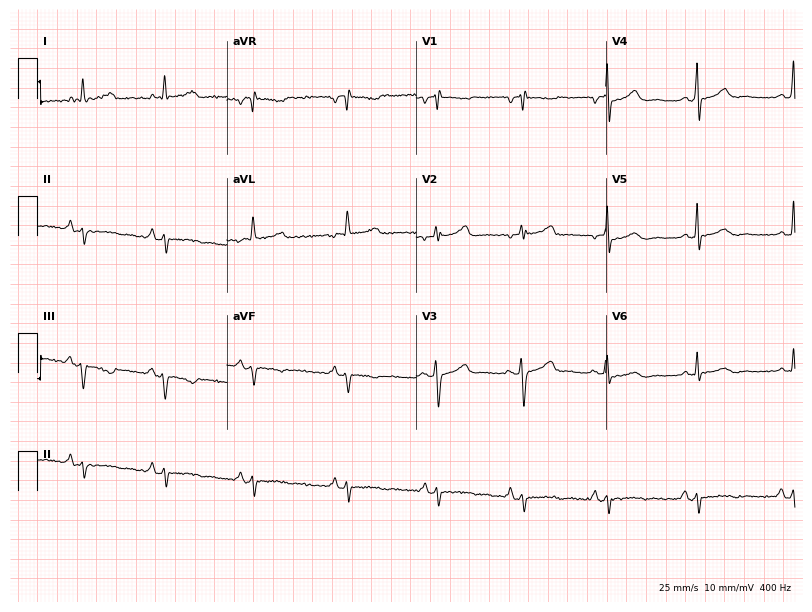
12-lead ECG from a female, 67 years old. Screened for six findings — first-degree AV block, right bundle branch block, left bundle branch block, sinus bradycardia, atrial fibrillation, sinus tachycardia — none is recorded. Only these six findings were labelled.